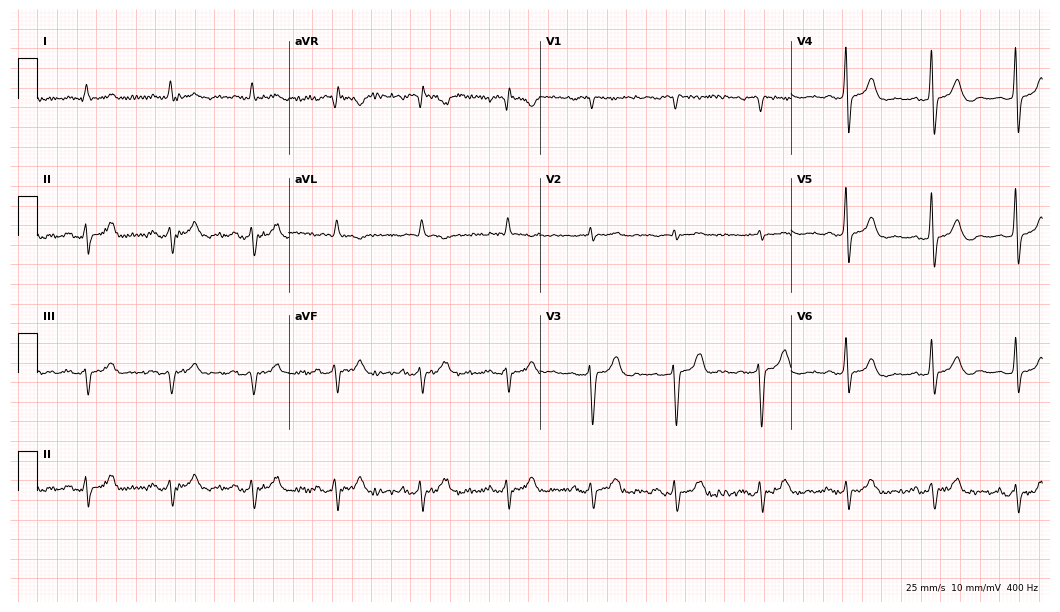
12-lead ECG from an 81-year-old man. No first-degree AV block, right bundle branch block, left bundle branch block, sinus bradycardia, atrial fibrillation or sinus tachycardia recorded for this tracing.